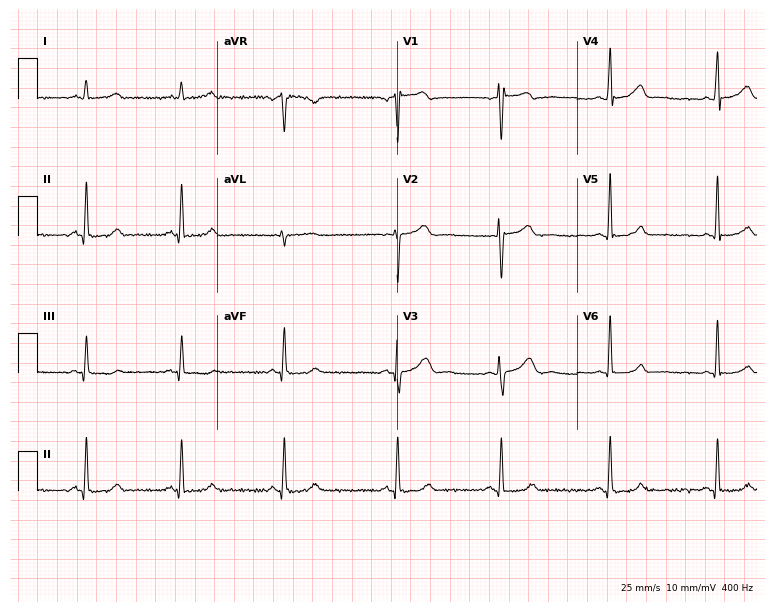
12-lead ECG (7.3-second recording at 400 Hz) from a female patient, 31 years old. Labelled as a normal ECG.